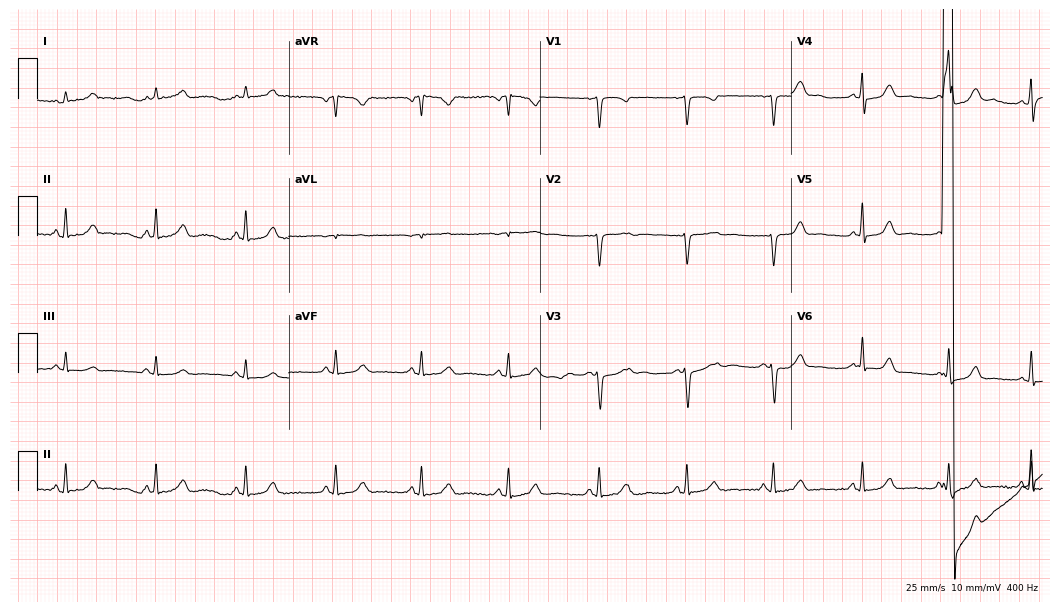
12-lead ECG from a 43-year-old female (10.2-second recording at 400 Hz). No first-degree AV block, right bundle branch block, left bundle branch block, sinus bradycardia, atrial fibrillation or sinus tachycardia recorded for this tracing.